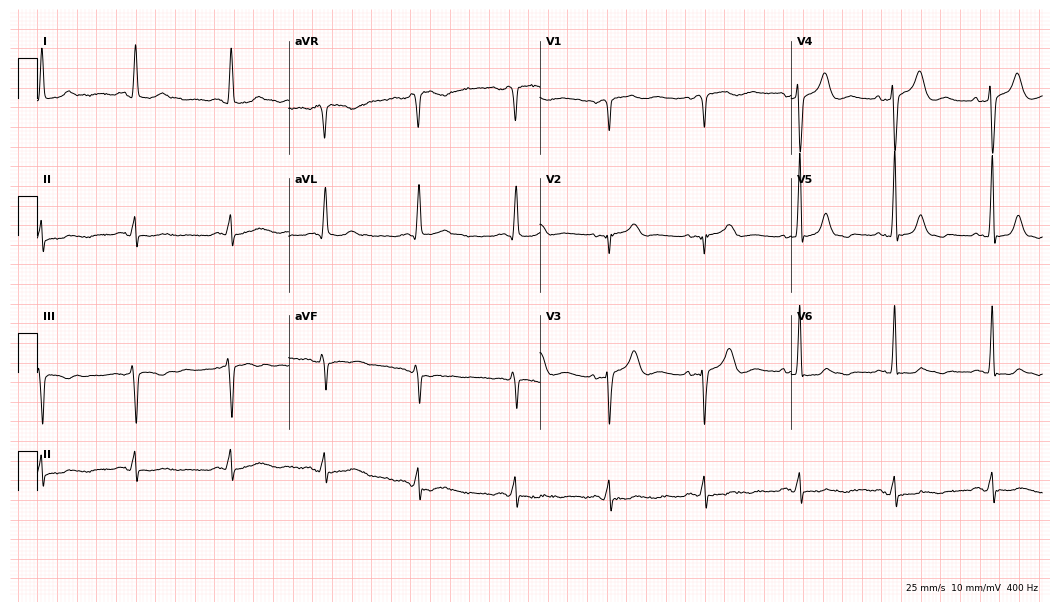
12-lead ECG (10.2-second recording at 400 Hz) from a 77-year-old woman. Labelled as a normal ECG.